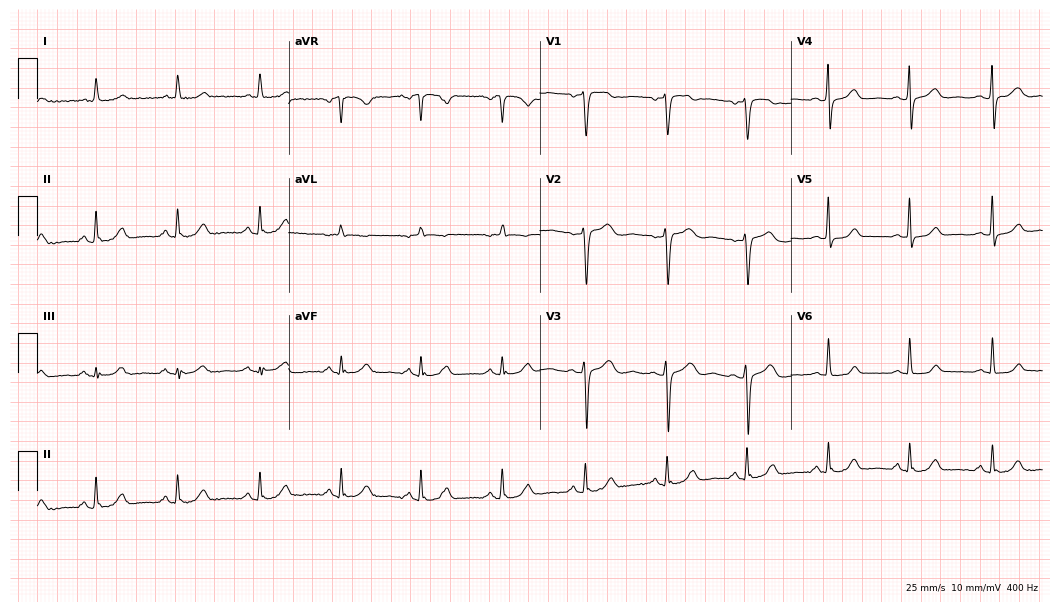
Electrocardiogram (10.2-second recording at 400 Hz), a 55-year-old woman. Overall reading on record: normal ECG.